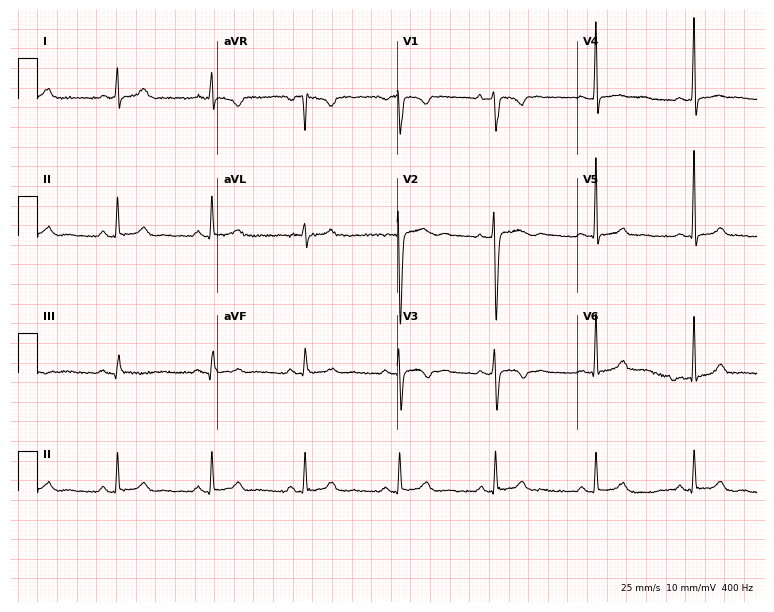
Standard 12-lead ECG recorded from a female, 46 years old. Read as a normal ECG.